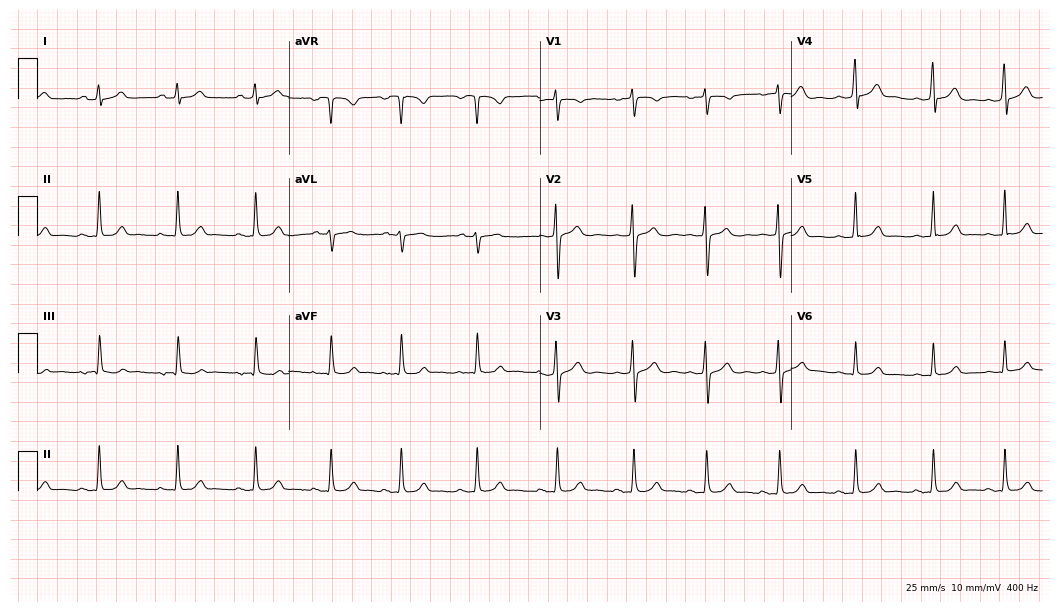
Electrocardiogram (10.2-second recording at 400 Hz), a 24-year-old female. Overall reading on record: normal ECG.